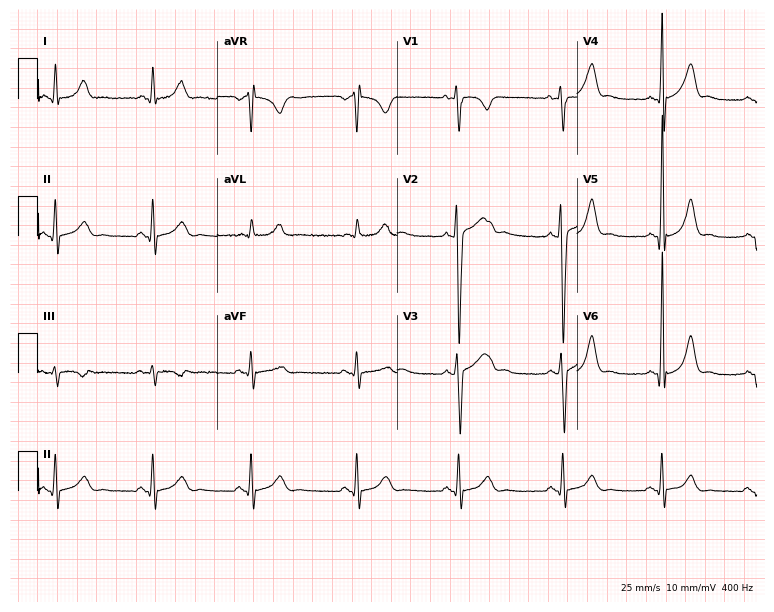
12-lead ECG from a male patient, 35 years old. Recorded interpretation: within normal limits.